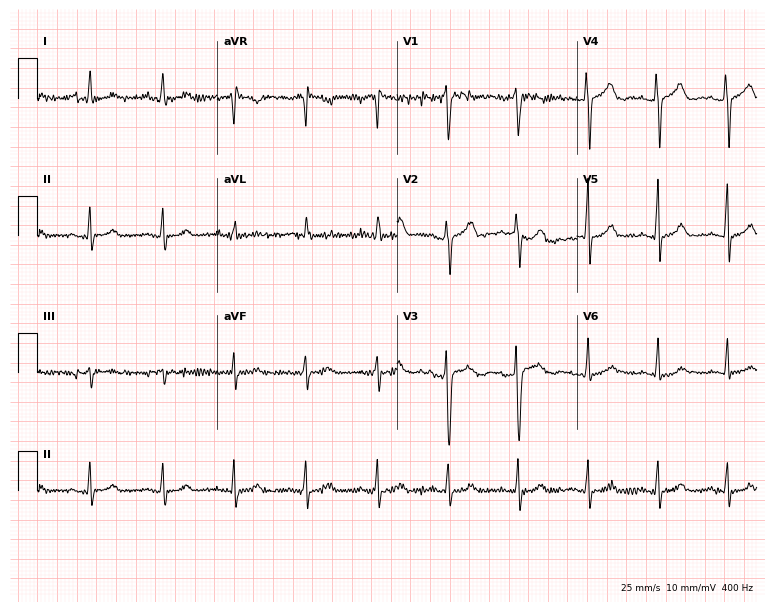
12-lead ECG from a 54-year-old female (7.3-second recording at 400 Hz). Recorded interpretation: within normal limits.